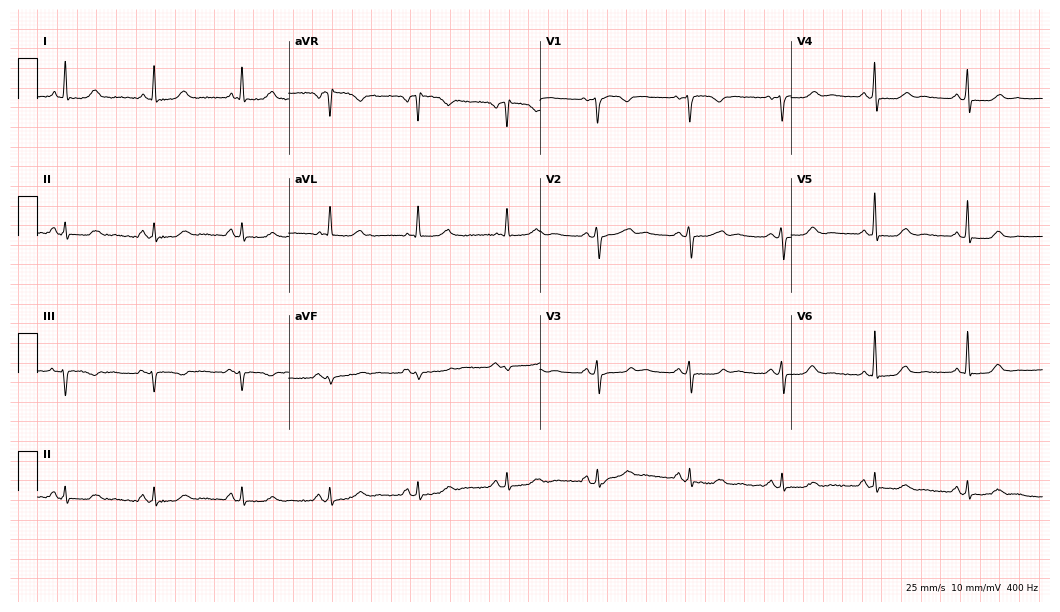
12-lead ECG from a 64-year-old female. Labelled as a normal ECG.